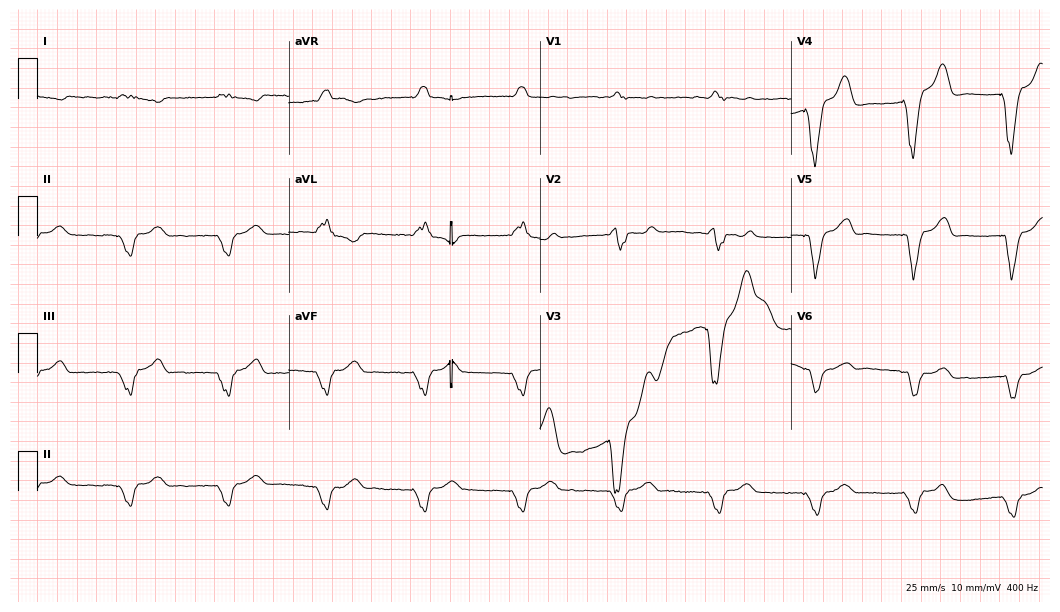
Electrocardiogram (10.2-second recording at 400 Hz), a male, 79 years old. Of the six screened findings (first-degree AV block, right bundle branch block, left bundle branch block, sinus bradycardia, atrial fibrillation, sinus tachycardia), none is recorded. Findings outside these six are not listed.